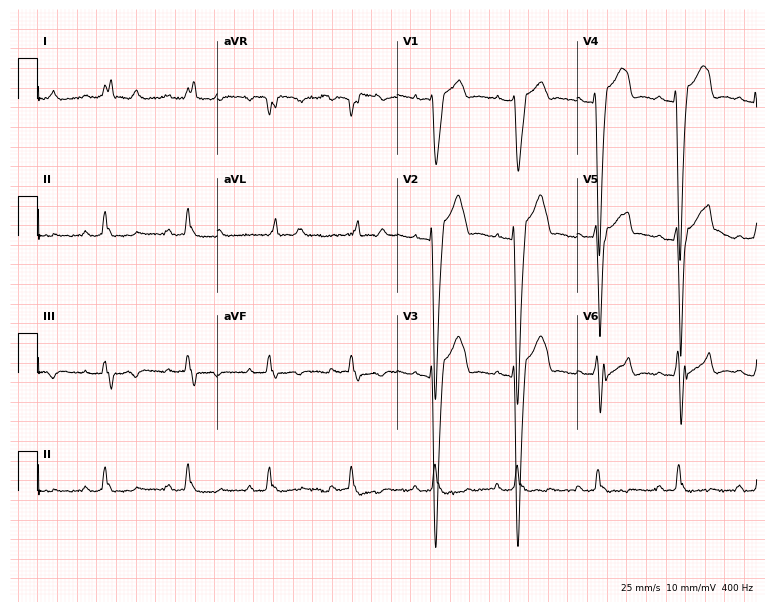
12-lead ECG from a 76-year-old male (7.3-second recording at 400 Hz). Shows left bundle branch block (LBBB).